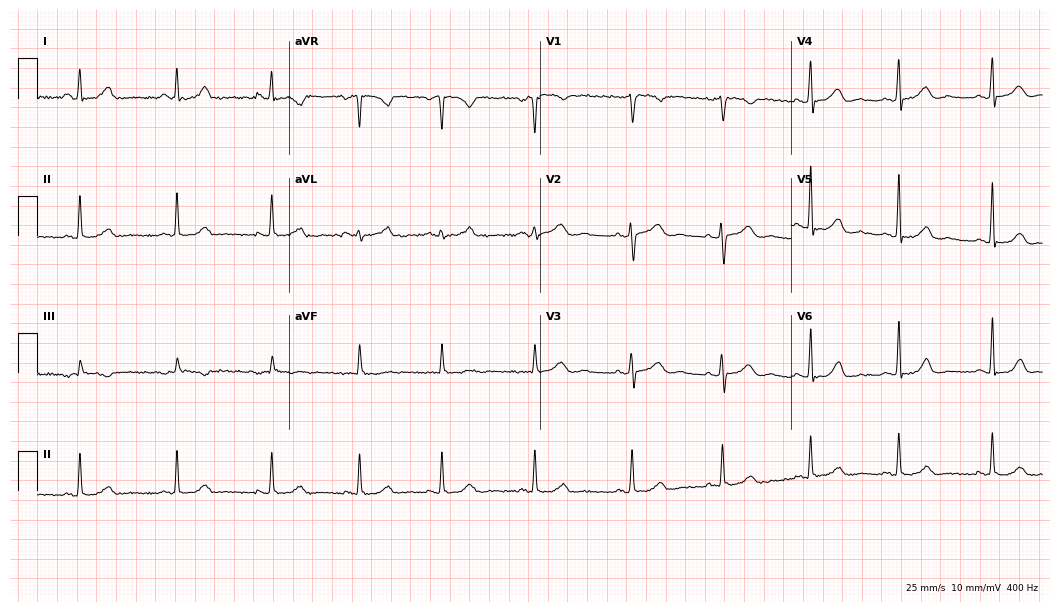
12-lead ECG from a woman, 33 years old. Labelled as a normal ECG.